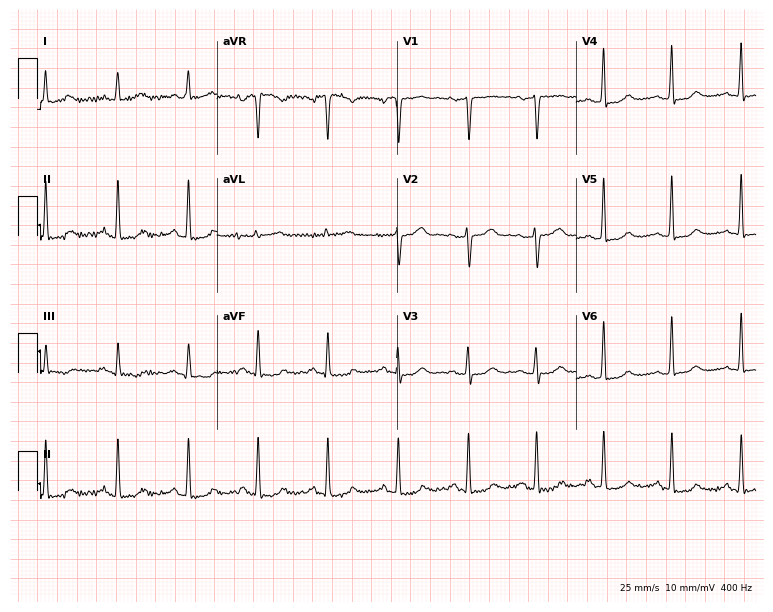
Electrocardiogram, a female, 62 years old. Overall reading on record: normal ECG.